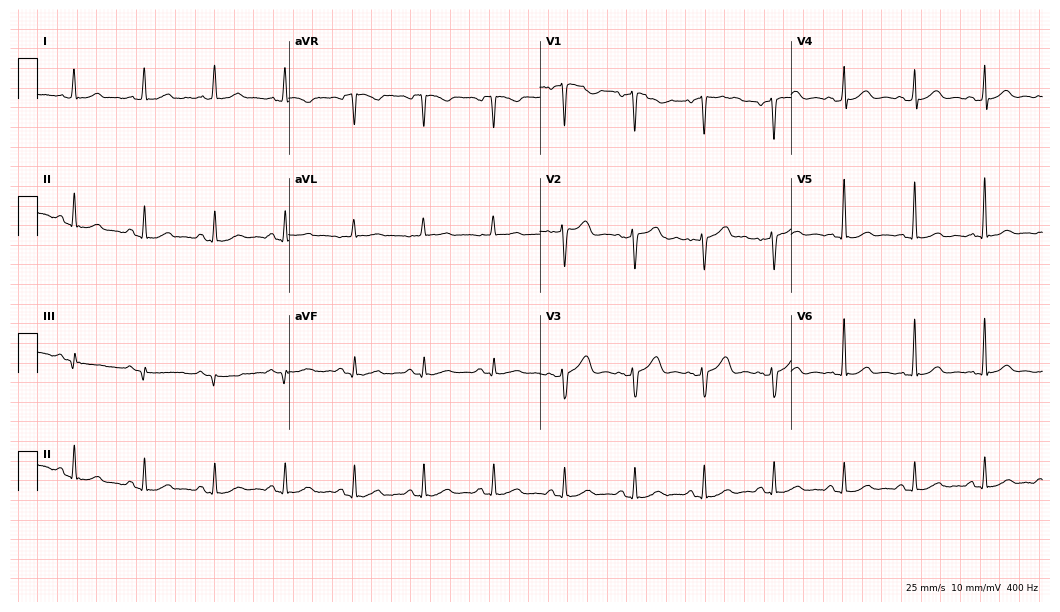
Resting 12-lead electrocardiogram. Patient: a female, 58 years old. Read as a normal ECG.